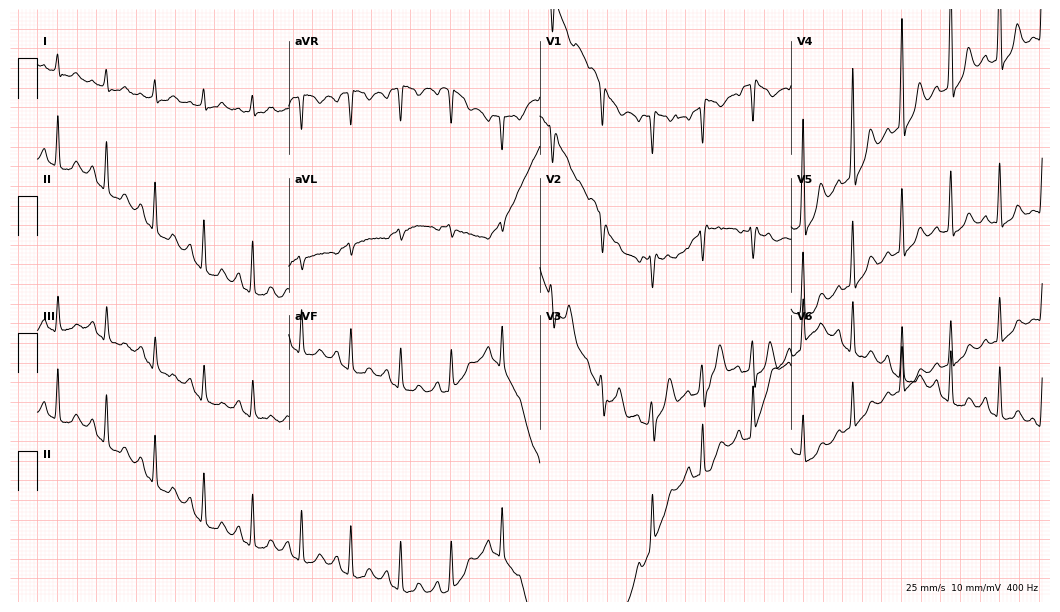
12-lead ECG from a female, 69 years old (10.2-second recording at 400 Hz). No first-degree AV block, right bundle branch block (RBBB), left bundle branch block (LBBB), sinus bradycardia, atrial fibrillation (AF) or sinus tachycardia recorded for this tracing. Other findings, if any, are not listed.